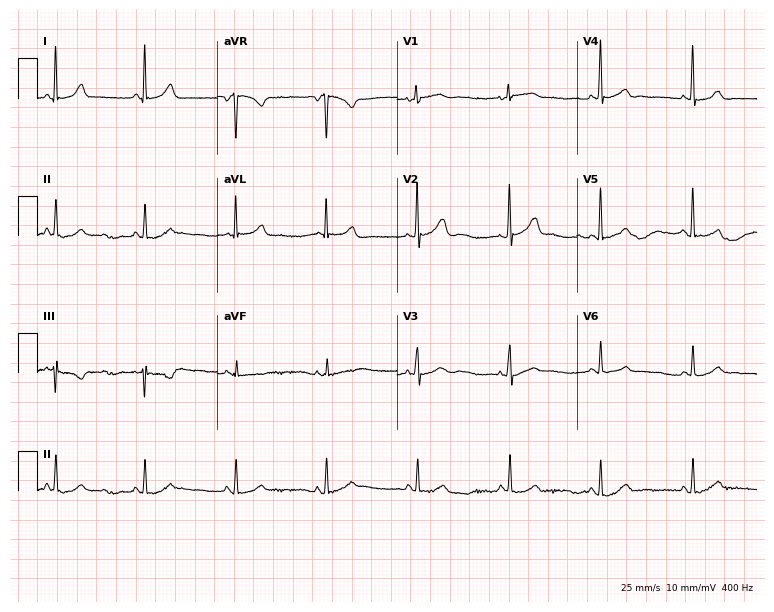
12-lead ECG from a 70-year-old woman. Labelled as a normal ECG.